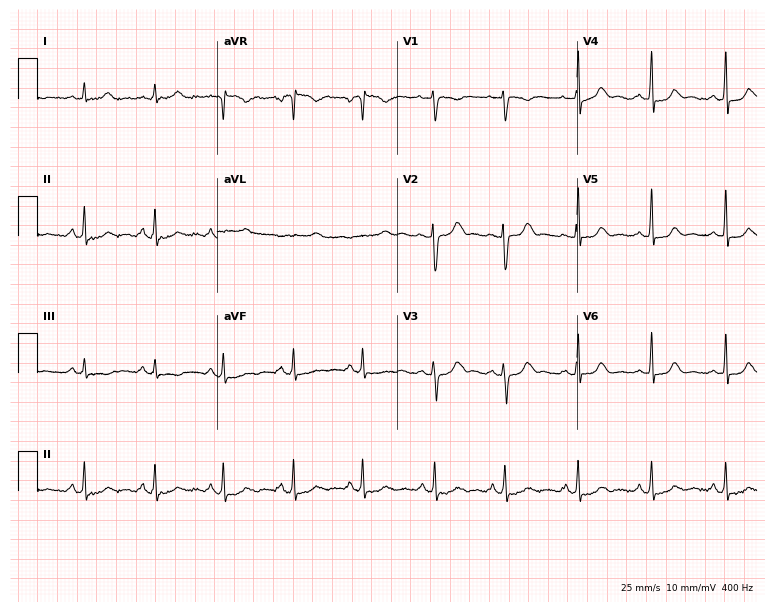
Standard 12-lead ECG recorded from a female, 33 years old (7.3-second recording at 400 Hz). None of these six findings is recorded: first-degree AV block, right bundle branch block, left bundle branch block, sinus bradycardia, atrial fibrillation, sinus tachycardia.